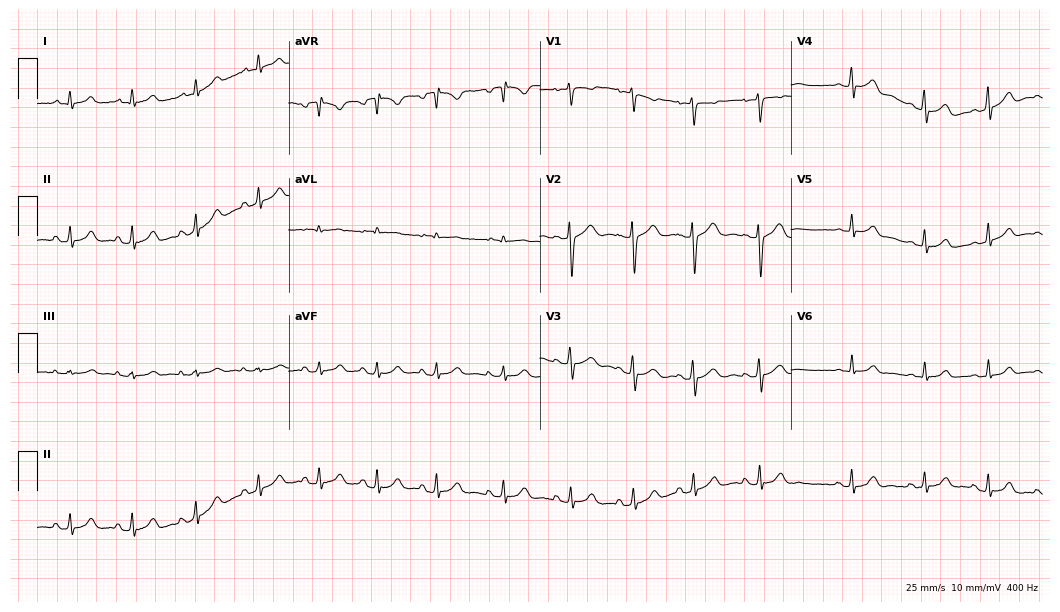
12-lead ECG (10.2-second recording at 400 Hz) from a woman, 18 years old. Screened for six findings — first-degree AV block, right bundle branch block, left bundle branch block, sinus bradycardia, atrial fibrillation, sinus tachycardia — none is recorded.